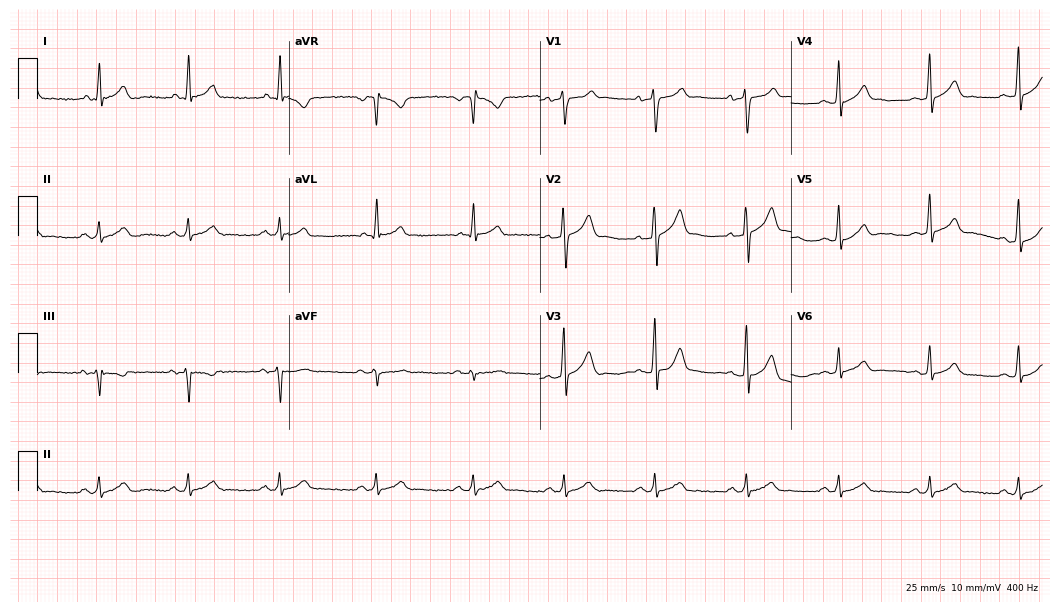
Resting 12-lead electrocardiogram (10.2-second recording at 400 Hz). Patient: a man, 46 years old. Read as a normal ECG.